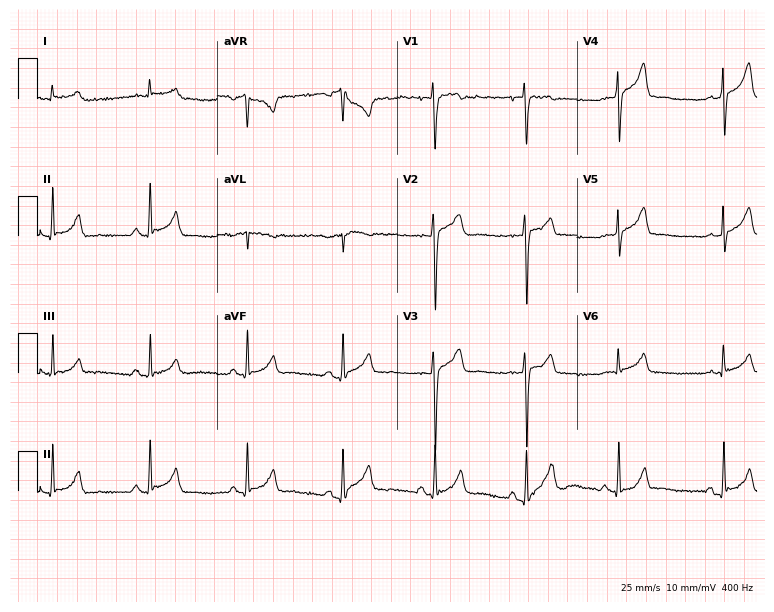
Electrocardiogram (7.3-second recording at 400 Hz), a 36-year-old male. Of the six screened findings (first-degree AV block, right bundle branch block (RBBB), left bundle branch block (LBBB), sinus bradycardia, atrial fibrillation (AF), sinus tachycardia), none is recorded.